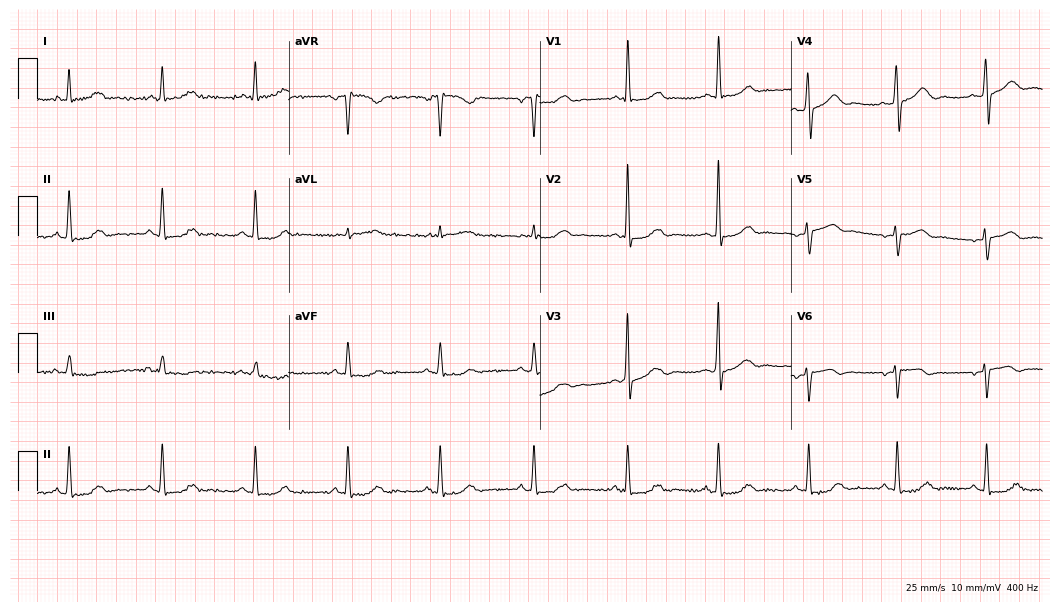
12-lead ECG (10.2-second recording at 400 Hz) from a woman, 52 years old. Screened for six findings — first-degree AV block, right bundle branch block, left bundle branch block, sinus bradycardia, atrial fibrillation, sinus tachycardia — none is recorded. Only these six findings were labelled.